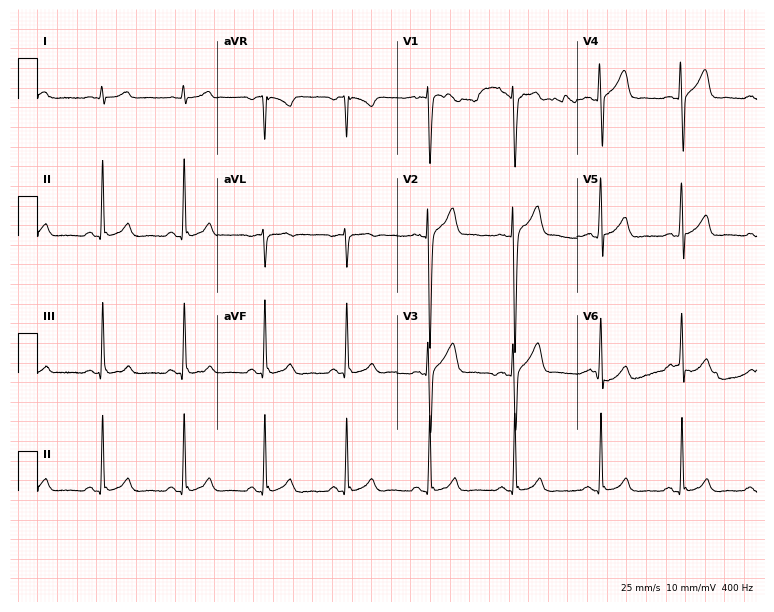
12-lead ECG (7.3-second recording at 400 Hz) from a 39-year-old man. Screened for six findings — first-degree AV block, right bundle branch block, left bundle branch block, sinus bradycardia, atrial fibrillation, sinus tachycardia — none is recorded.